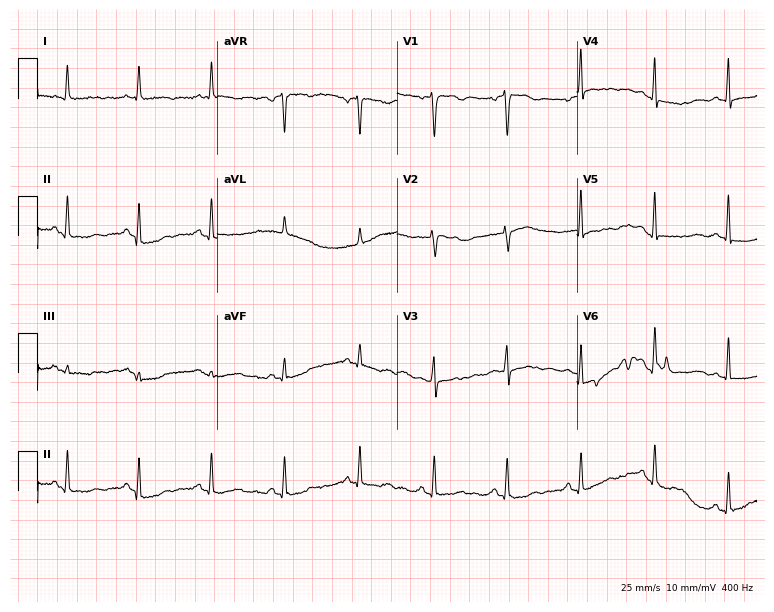
Resting 12-lead electrocardiogram (7.3-second recording at 400 Hz). Patient: a female, 58 years old. None of these six findings is recorded: first-degree AV block, right bundle branch block, left bundle branch block, sinus bradycardia, atrial fibrillation, sinus tachycardia.